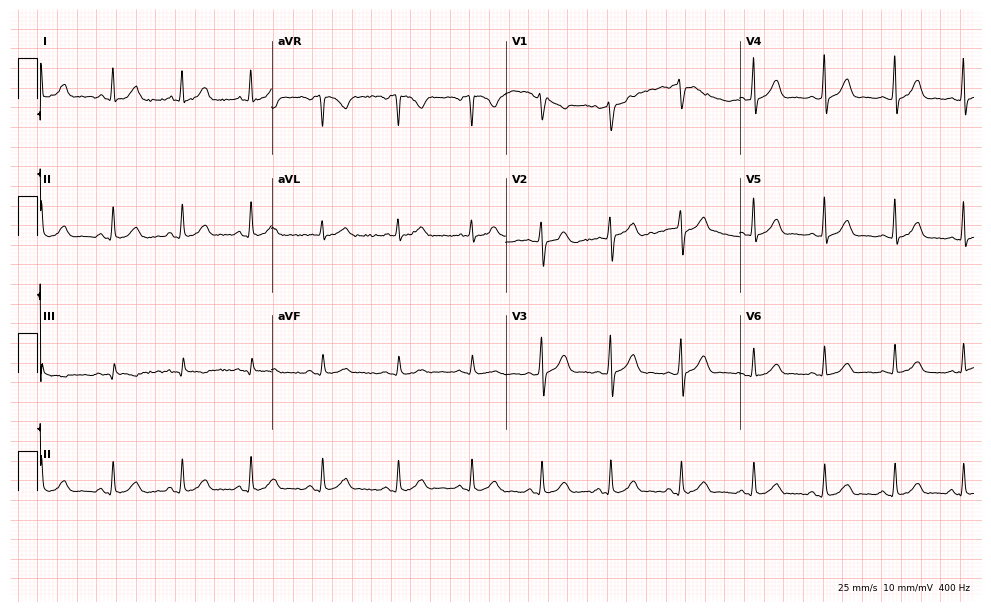
Standard 12-lead ECG recorded from a female patient, 32 years old. Read as a normal ECG.